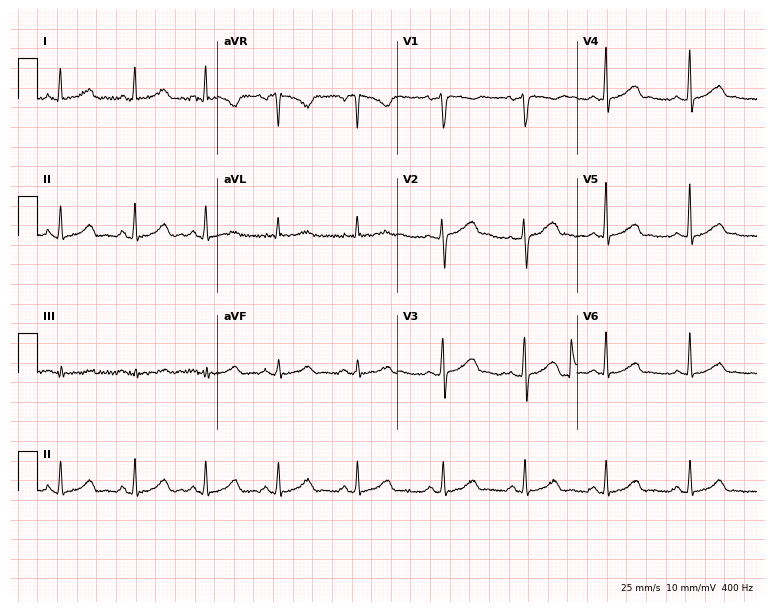
12-lead ECG from a 48-year-old female patient. Labelled as a normal ECG.